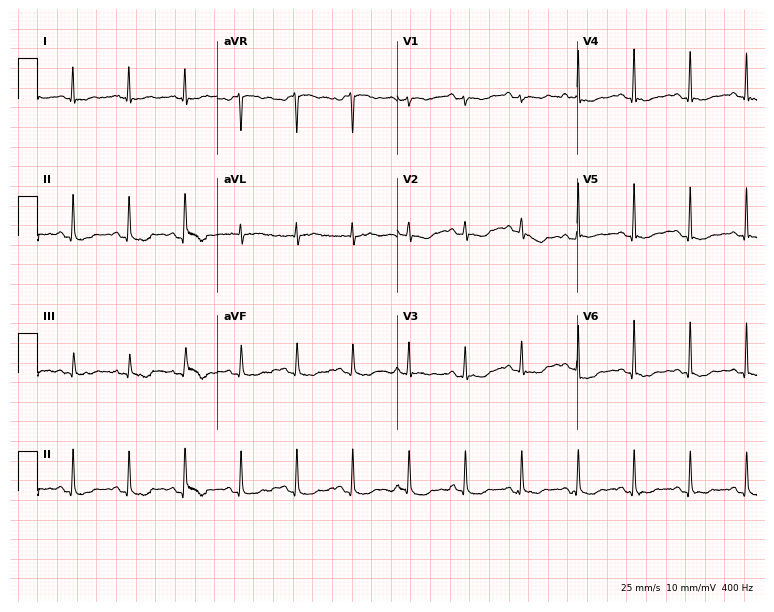
12-lead ECG from a 46-year-old woman (7.3-second recording at 400 Hz). Shows sinus tachycardia (a sinus rate of 100 beats per minute or more).